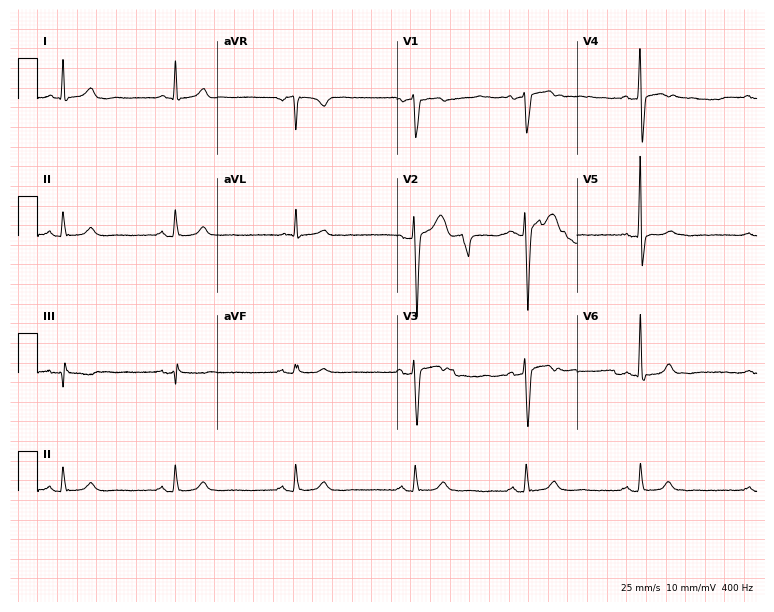
Standard 12-lead ECG recorded from a man, 52 years old (7.3-second recording at 400 Hz). None of these six findings is recorded: first-degree AV block, right bundle branch block (RBBB), left bundle branch block (LBBB), sinus bradycardia, atrial fibrillation (AF), sinus tachycardia.